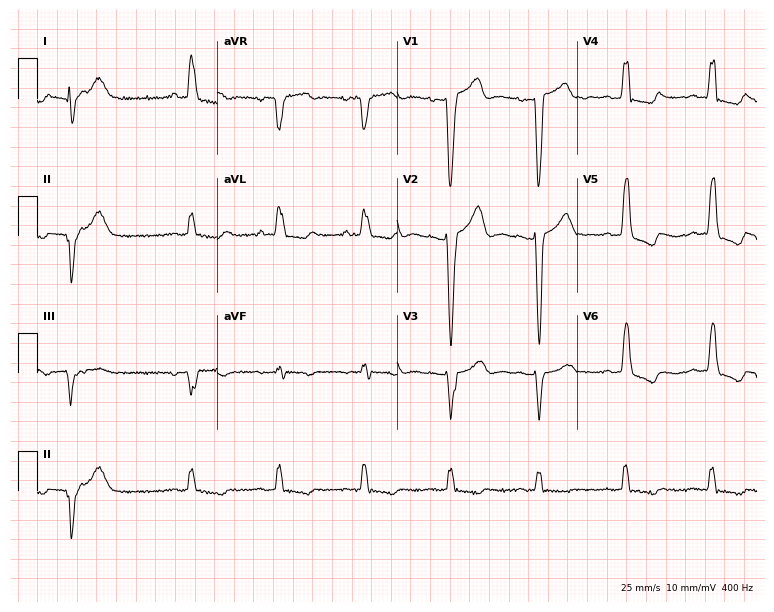
Standard 12-lead ECG recorded from an 83-year-old female (7.3-second recording at 400 Hz). The tracing shows left bundle branch block (LBBB).